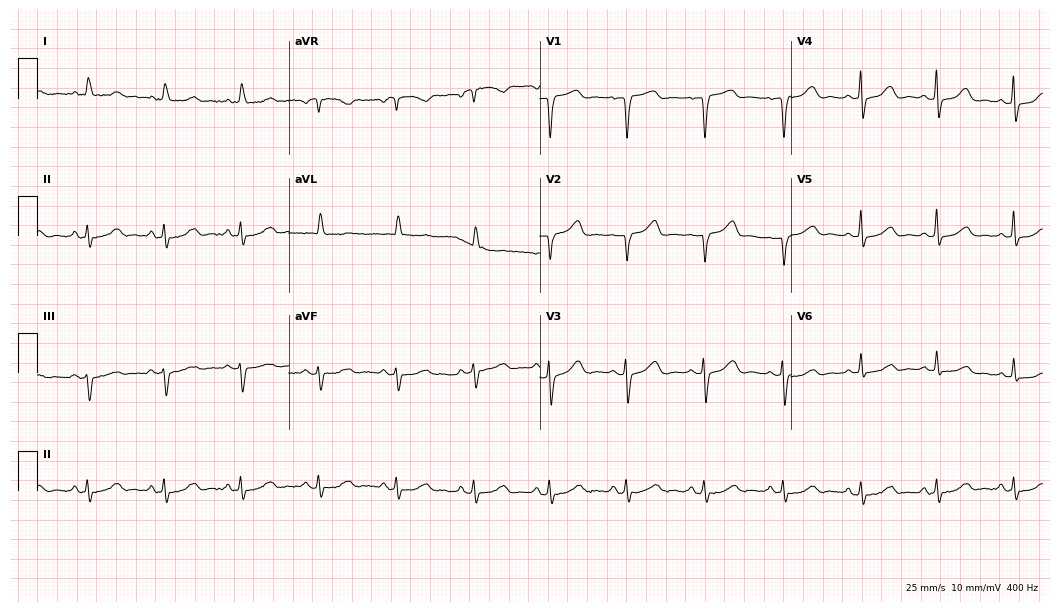
Standard 12-lead ECG recorded from an 82-year-old female patient (10.2-second recording at 400 Hz). Read as a normal ECG.